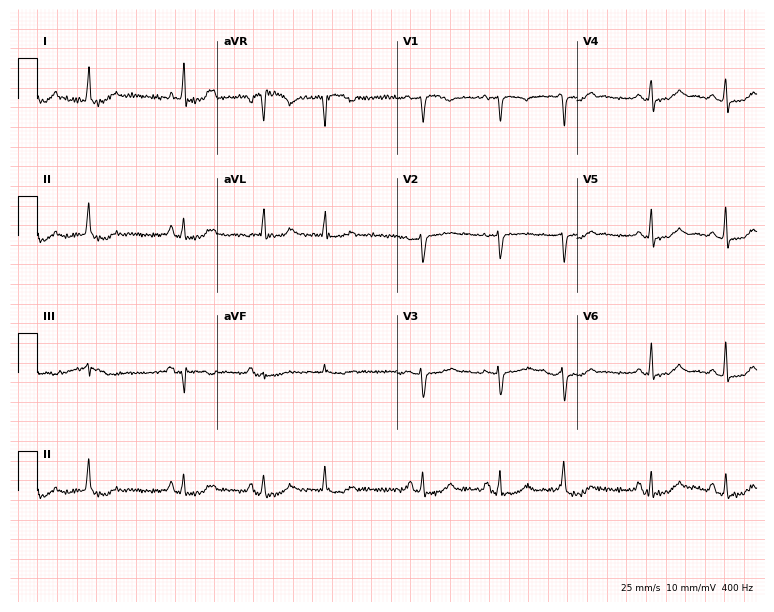
12-lead ECG from a woman, 48 years old (7.3-second recording at 400 Hz). No first-degree AV block, right bundle branch block, left bundle branch block, sinus bradycardia, atrial fibrillation or sinus tachycardia recorded for this tracing.